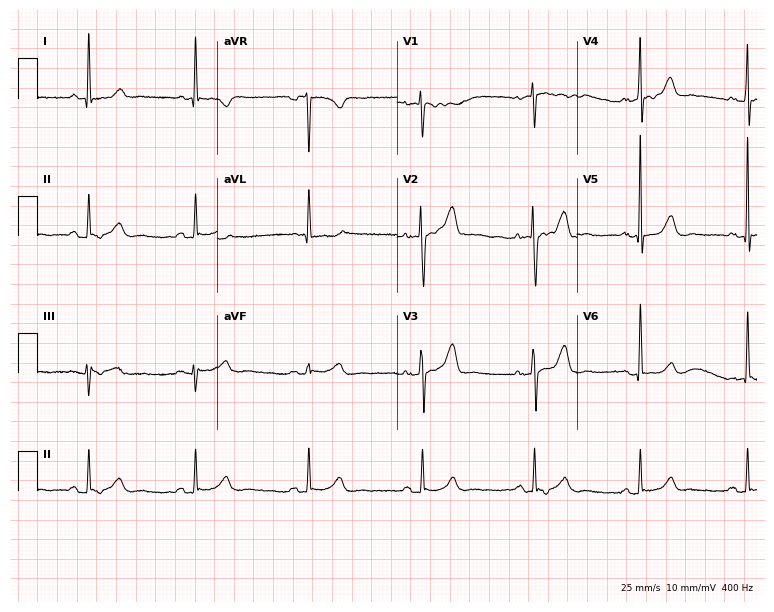
Electrocardiogram, a 57-year-old female patient. Of the six screened findings (first-degree AV block, right bundle branch block, left bundle branch block, sinus bradycardia, atrial fibrillation, sinus tachycardia), none is recorded. Other findings, if any, are not listed.